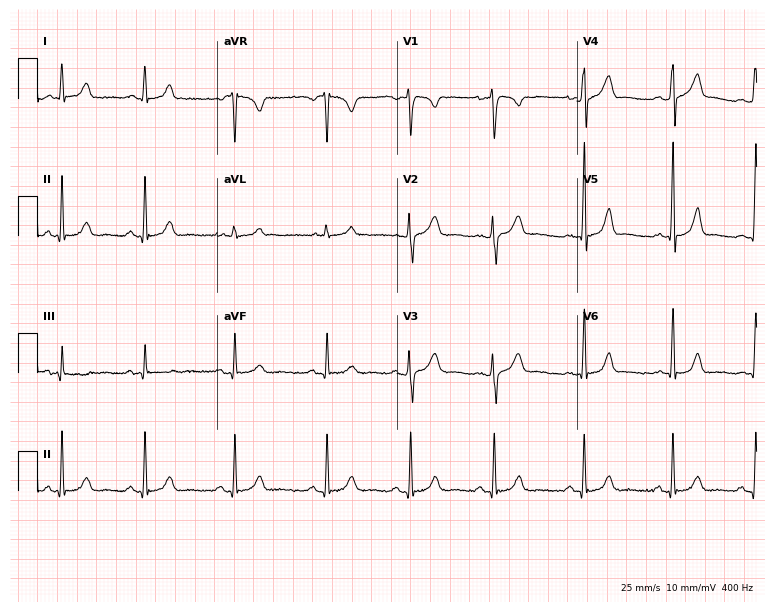
12-lead ECG (7.3-second recording at 400 Hz) from a female patient, 25 years old. Labelled as a normal ECG.